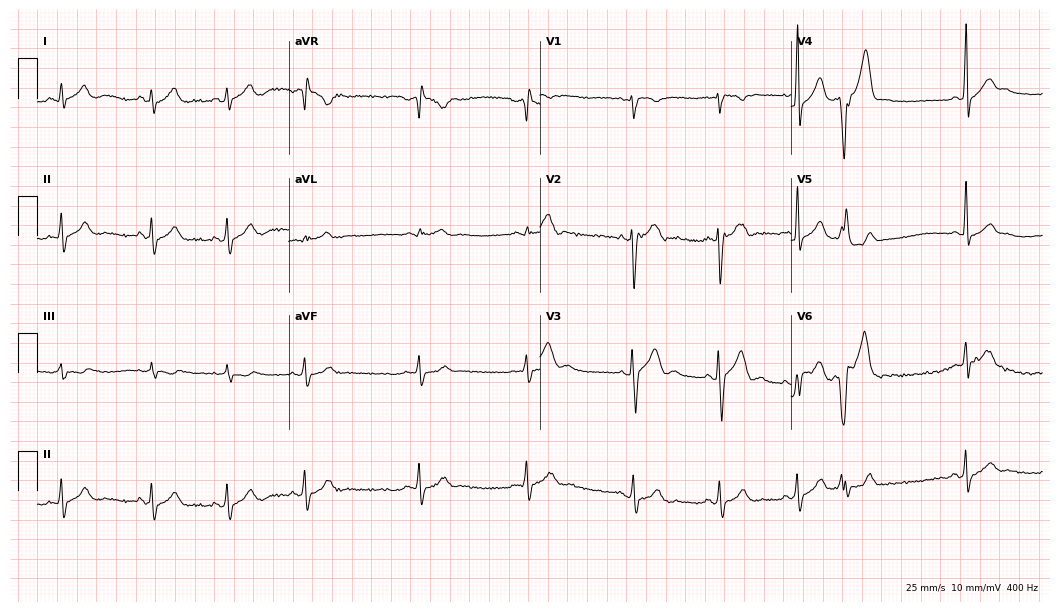
Standard 12-lead ECG recorded from a man, 17 years old. Read as a normal ECG.